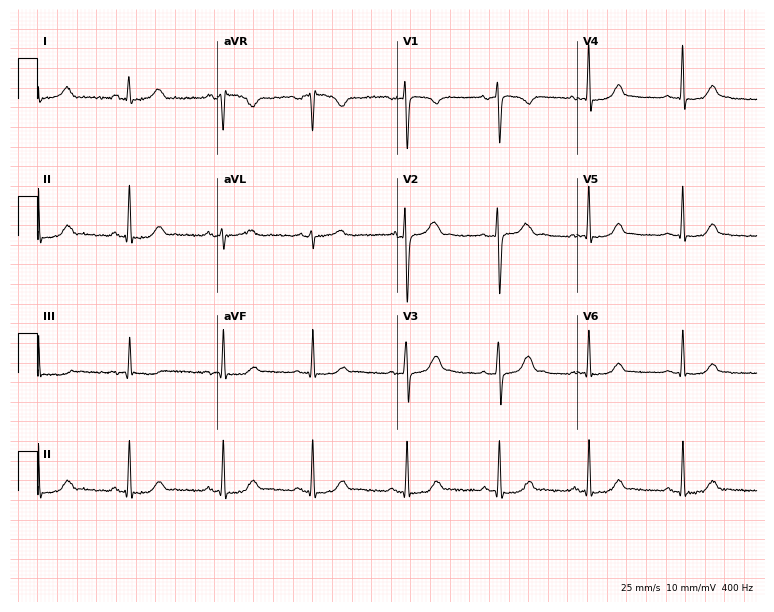
12-lead ECG from a 38-year-old woman. Screened for six findings — first-degree AV block, right bundle branch block, left bundle branch block, sinus bradycardia, atrial fibrillation, sinus tachycardia — none is recorded.